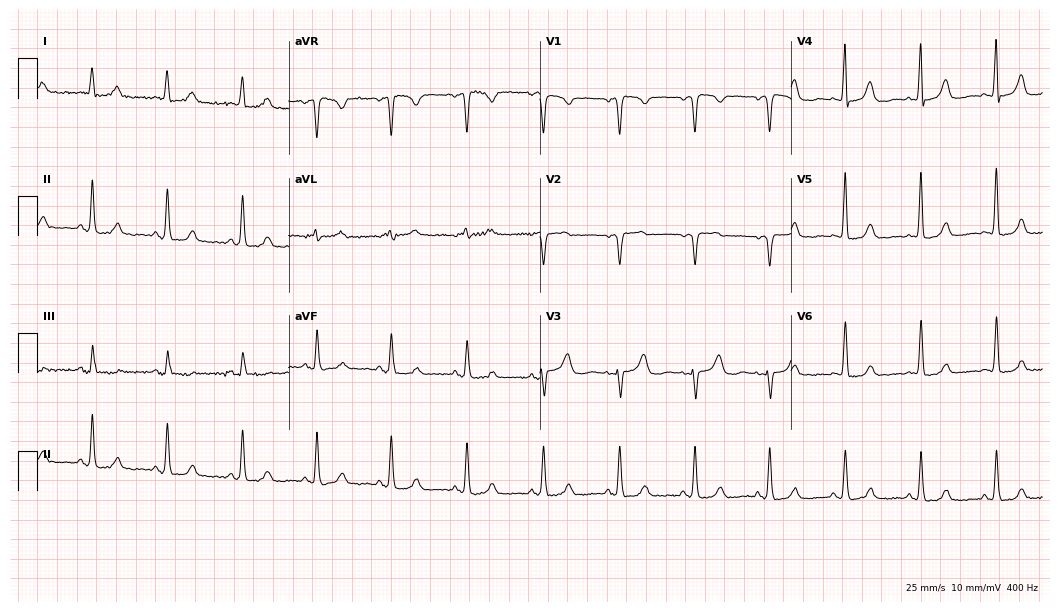
ECG — a female patient, 83 years old. Labelled as a normal ECG.